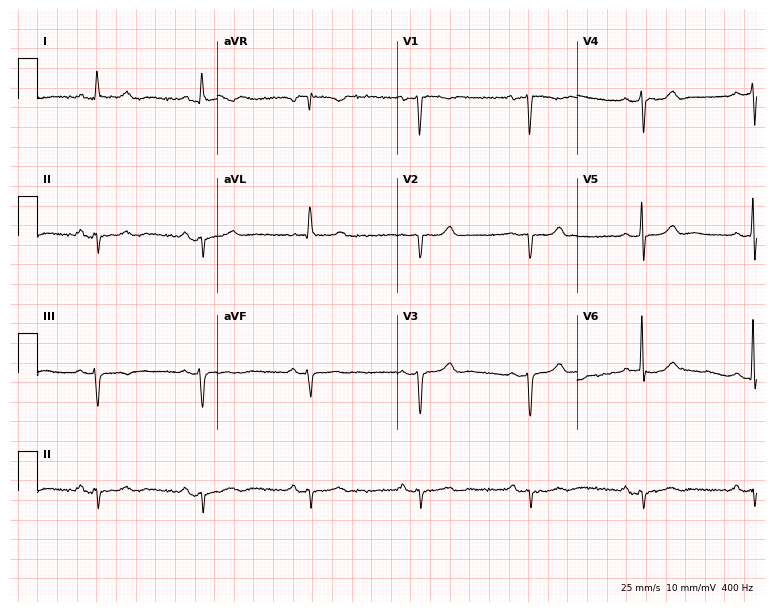
Resting 12-lead electrocardiogram. Patient: a 75-year-old male. None of these six findings is recorded: first-degree AV block, right bundle branch block (RBBB), left bundle branch block (LBBB), sinus bradycardia, atrial fibrillation (AF), sinus tachycardia. Findings outside these six are not listed.